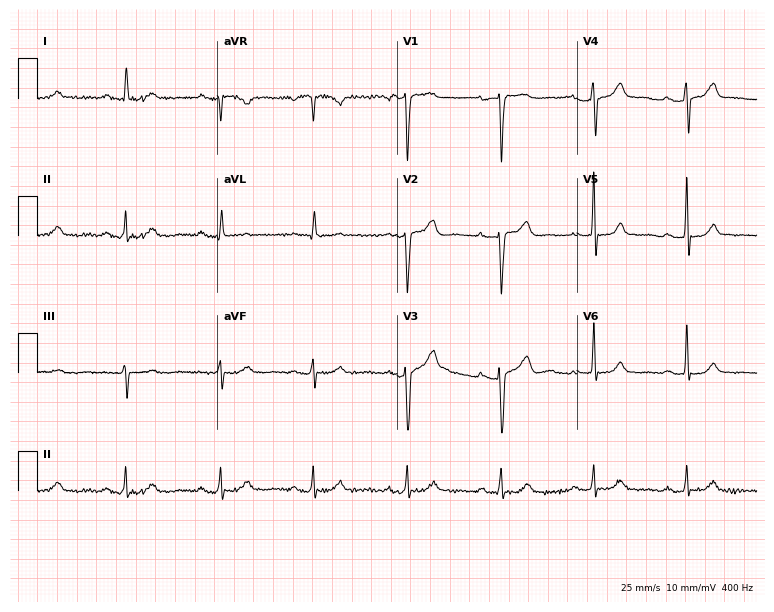
ECG (7.3-second recording at 400 Hz) — a female patient, 61 years old. Screened for six findings — first-degree AV block, right bundle branch block (RBBB), left bundle branch block (LBBB), sinus bradycardia, atrial fibrillation (AF), sinus tachycardia — none is recorded. Other findings, if any, are not listed.